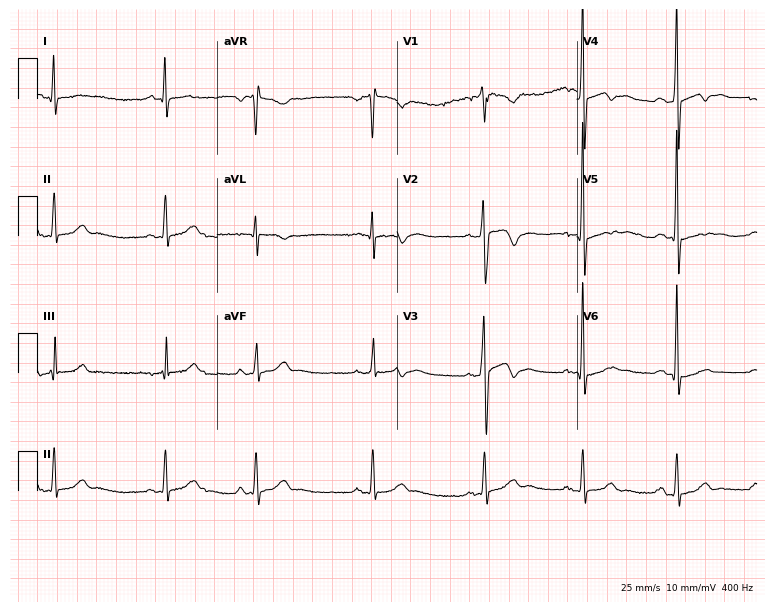
Resting 12-lead electrocardiogram (7.3-second recording at 400 Hz). Patient: a male, 37 years old. None of these six findings is recorded: first-degree AV block, right bundle branch block, left bundle branch block, sinus bradycardia, atrial fibrillation, sinus tachycardia.